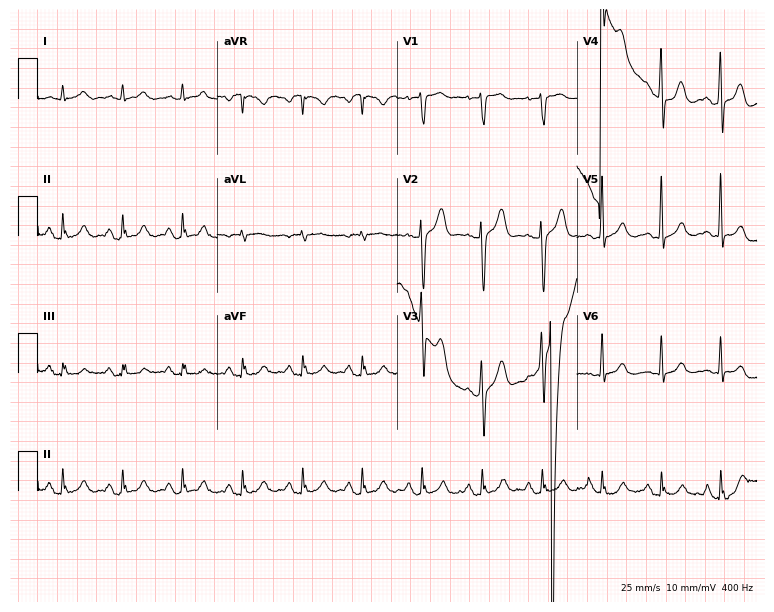
Electrocardiogram, a 59-year-old male patient. Overall reading on record: normal ECG.